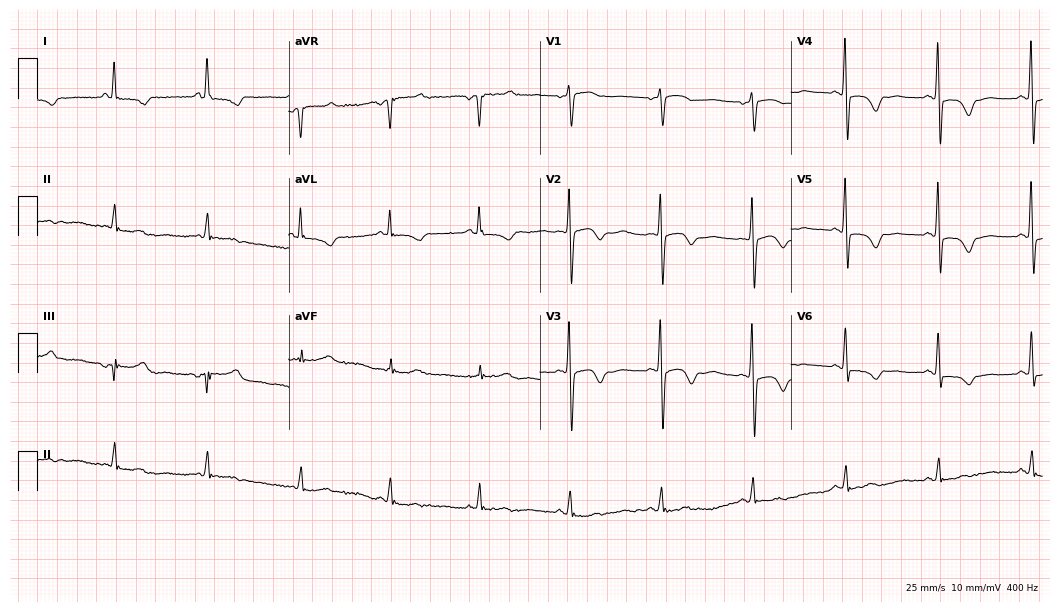
Electrocardiogram, a female patient, 68 years old. Of the six screened findings (first-degree AV block, right bundle branch block (RBBB), left bundle branch block (LBBB), sinus bradycardia, atrial fibrillation (AF), sinus tachycardia), none is recorded.